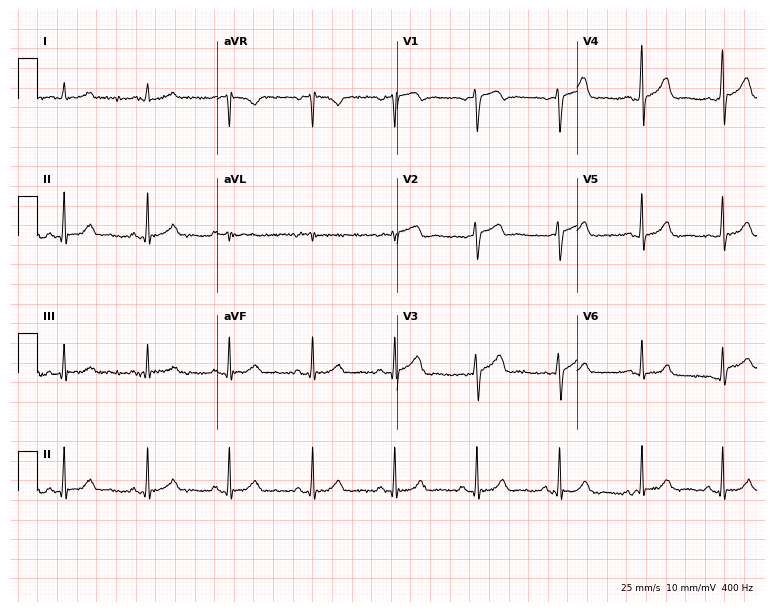
Resting 12-lead electrocardiogram. Patient: a 53-year-old man. Read as a normal ECG.